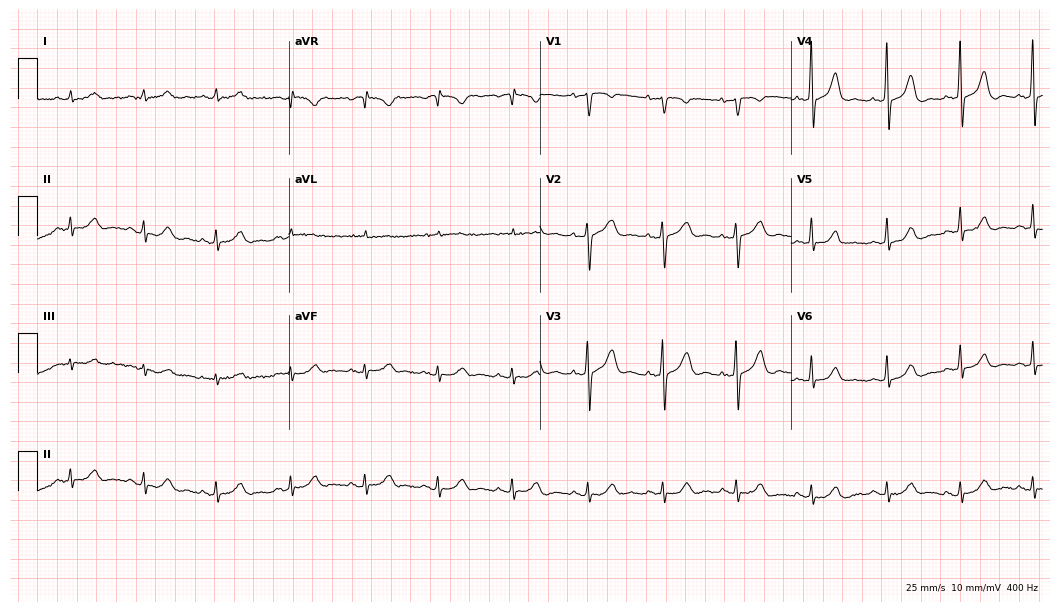
Electrocardiogram, a woman, 83 years old. Overall reading on record: normal ECG.